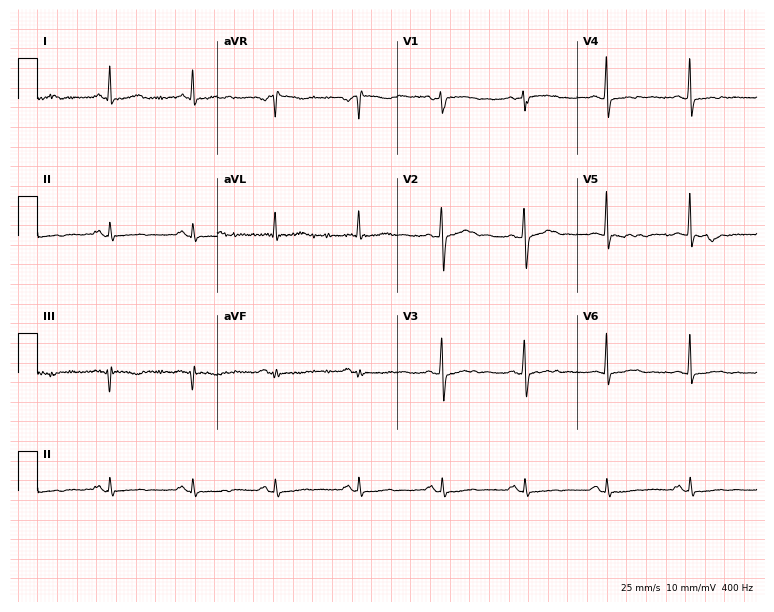
Standard 12-lead ECG recorded from a female patient, 59 years old (7.3-second recording at 400 Hz). Read as a normal ECG.